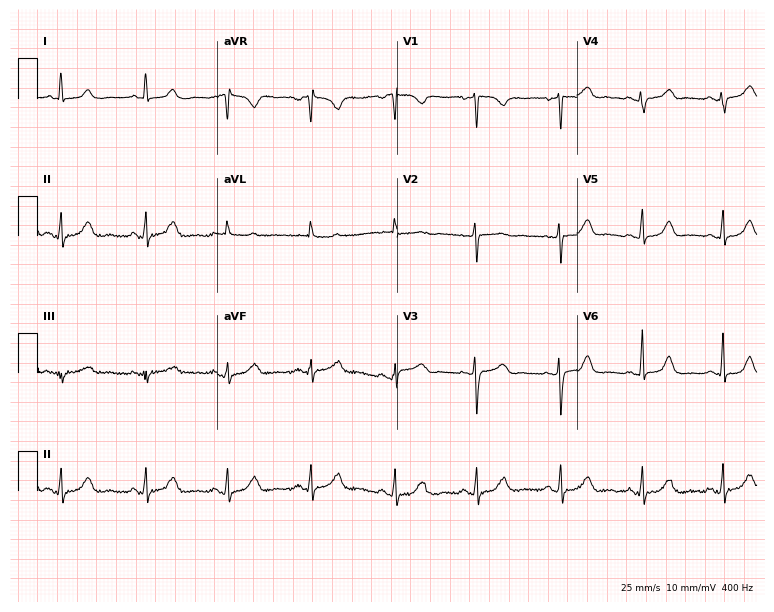
12-lead ECG (7.3-second recording at 400 Hz) from a 46-year-old woman. Labelled as a normal ECG.